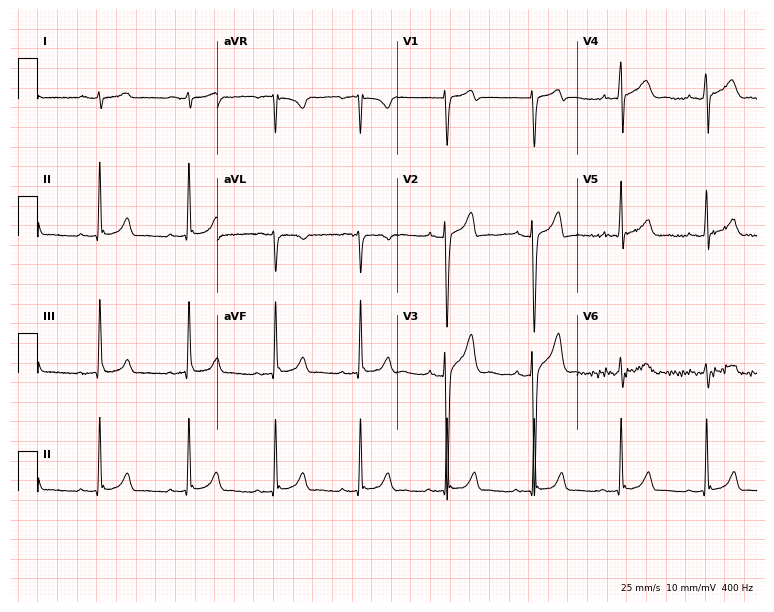
12-lead ECG from a male patient, 25 years old. No first-degree AV block, right bundle branch block, left bundle branch block, sinus bradycardia, atrial fibrillation or sinus tachycardia recorded for this tracing. Other findings, if any, are not listed.